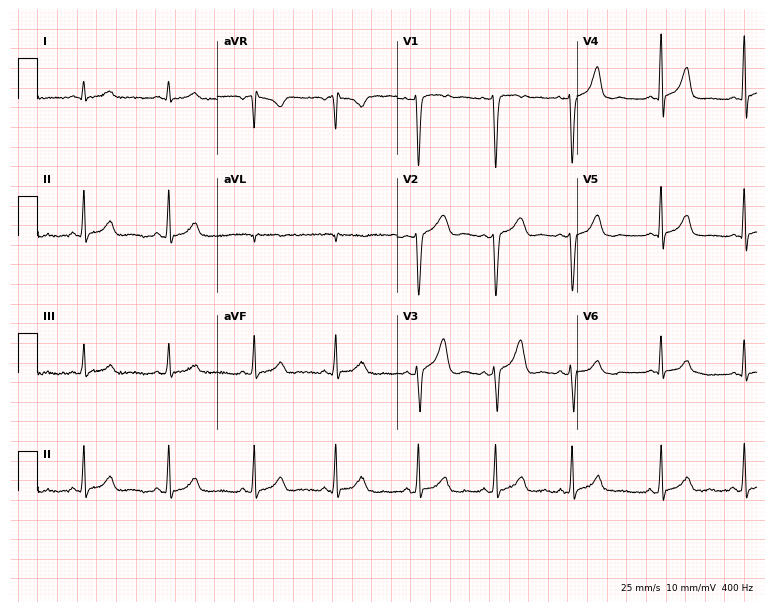
12-lead ECG from a woman, 25 years old (7.3-second recording at 400 Hz). Recorded interpretation: within normal limits.